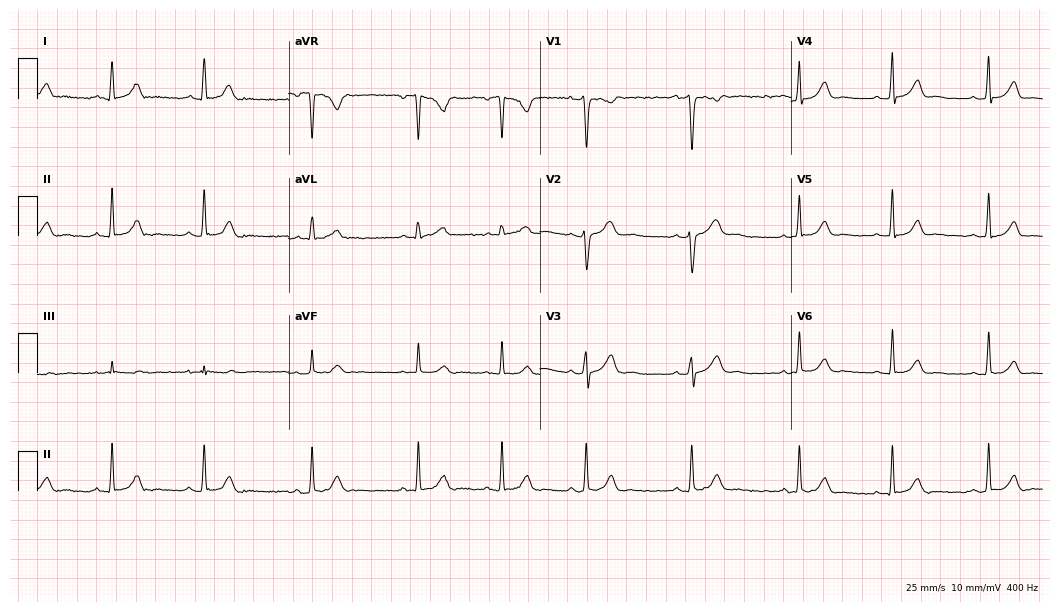
Resting 12-lead electrocardiogram (10.2-second recording at 400 Hz). Patient: a female, 18 years old. None of these six findings is recorded: first-degree AV block, right bundle branch block (RBBB), left bundle branch block (LBBB), sinus bradycardia, atrial fibrillation (AF), sinus tachycardia.